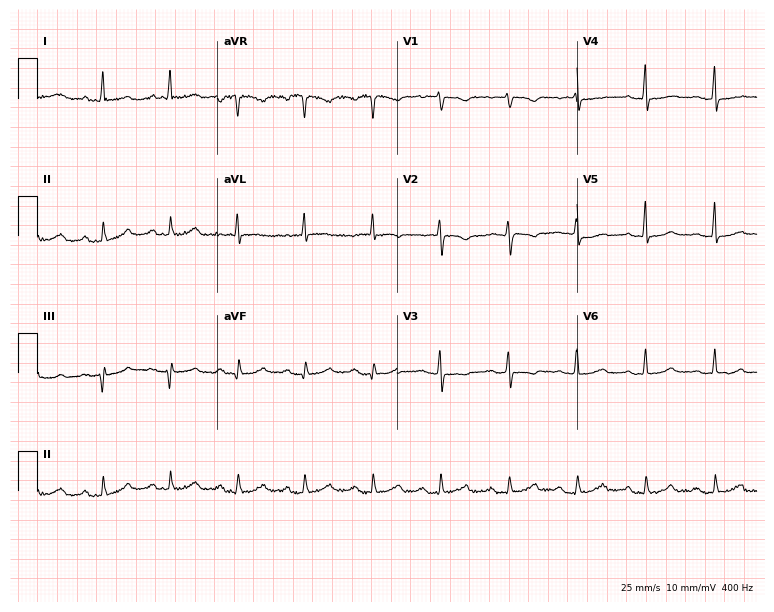
12-lead ECG from a female, 72 years old. Labelled as a normal ECG.